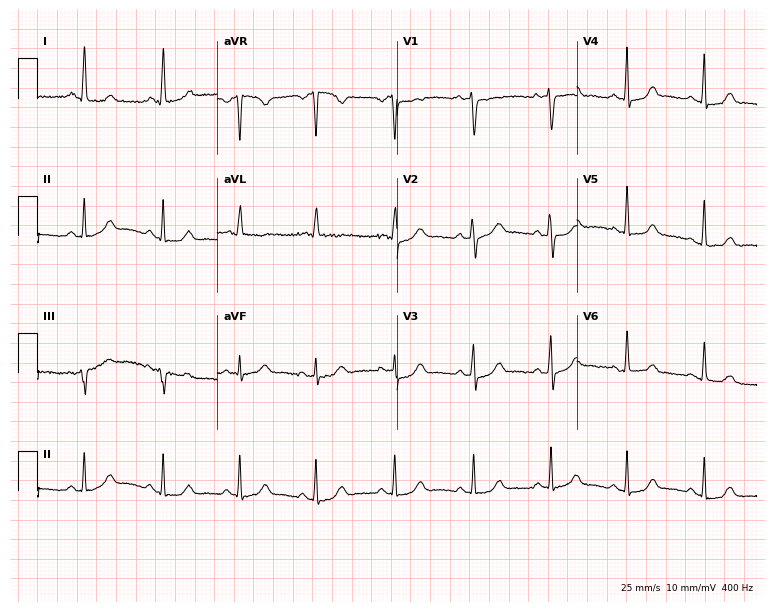
12-lead ECG (7.3-second recording at 400 Hz) from a 52-year-old female patient. Labelled as a normal ECG.